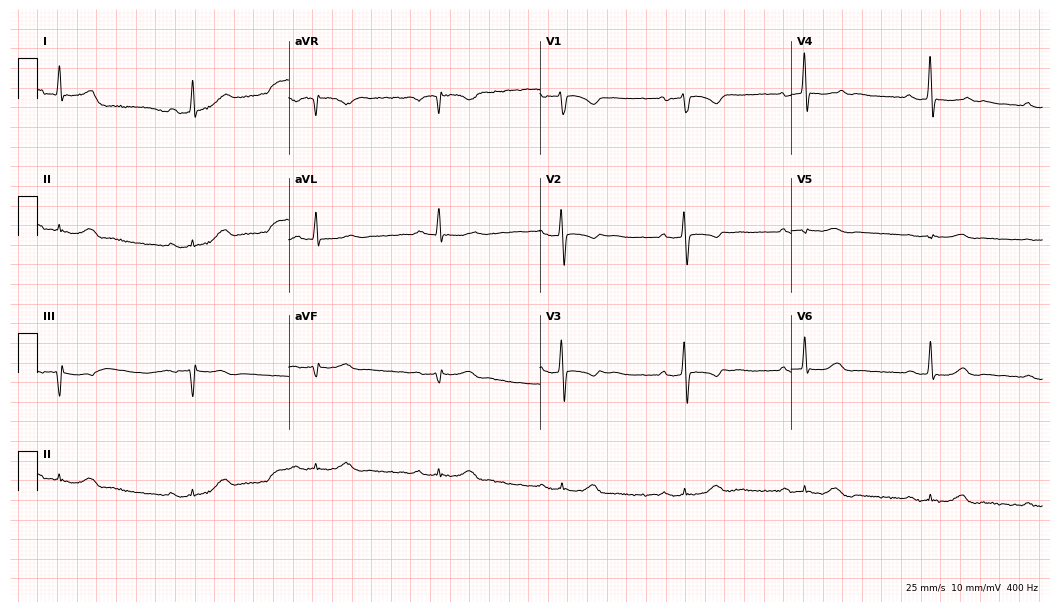
Standard 12-lead ECG recorded from a 44-year-old man. None of these six findings is recorded: first-degree AV block, right bundle branch block, left bundle branch block, sinus bradycardia, atrial fibrillation, sinus tachycardia.